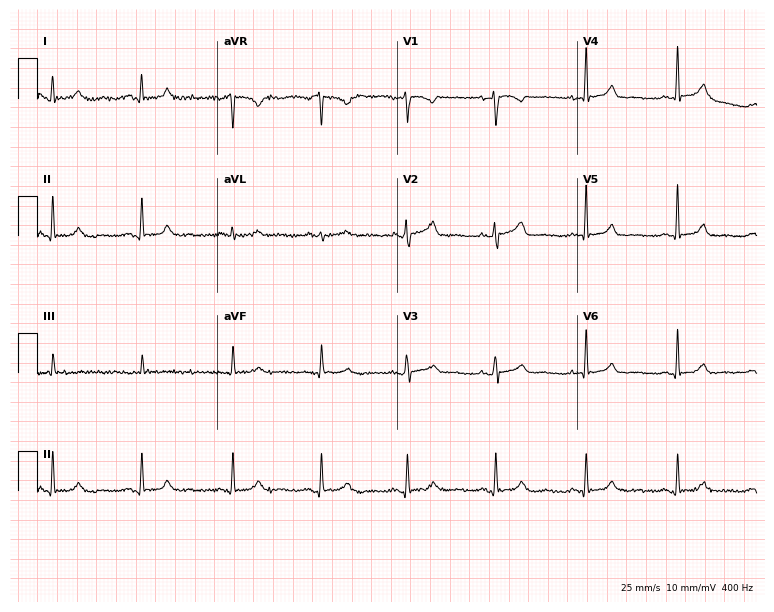
Resting 12-lead electrocardiogram. Patient: a 46-year-old woman. None of these six findings is recorded: first-degree AV block, right bundle branch block, left bundle branch block, sinus bradycardia, atrial fibrillation, sinus tachycardia. Other findings, if any, are not listed.